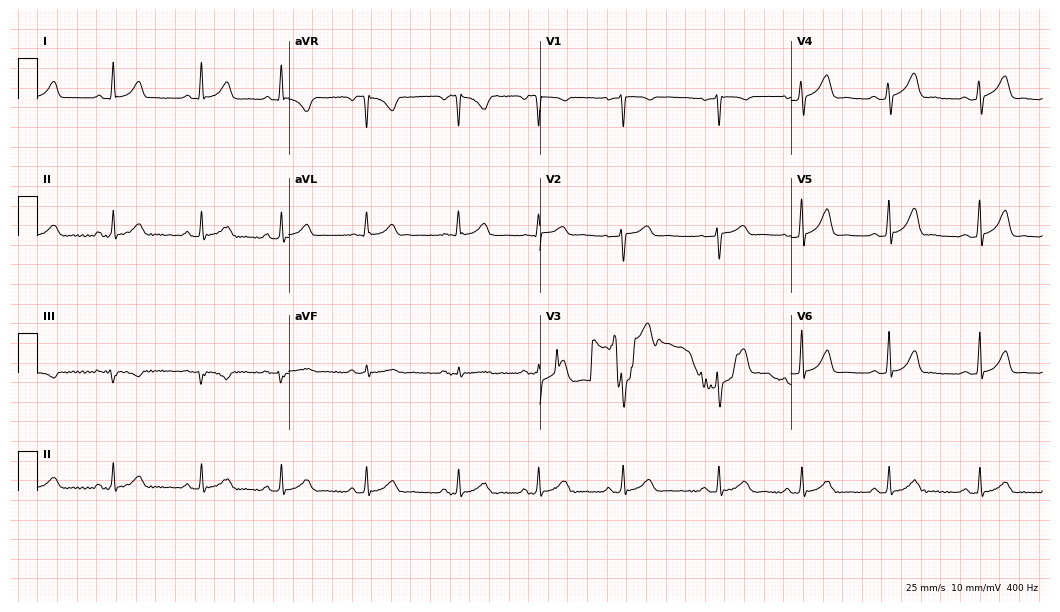
12-lead ECG from a 37-year-old female (10.2-second recording at 400 Hz). No first-degree AV block, right bundle branch block, left bundle branch block, sinus bradycardia, atrial fibrillation or sinus tachycardia recorded for this tracing.